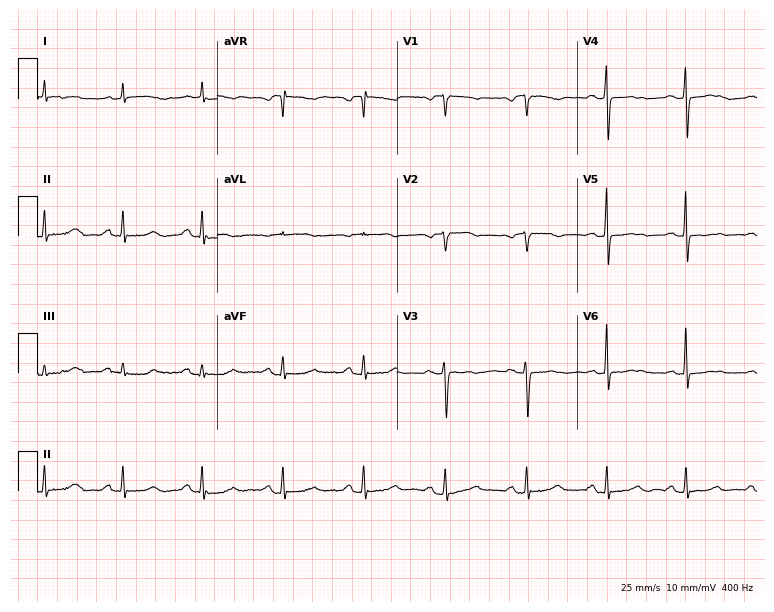
12-lead ECG from a 55-year-old female (7.3-second recording at 400 Hz). No first-degree AV block, right bundle branch block (RBBB), left bundle branch block (LBBB), sinus bradycardia, atrial fibrillation (AF) or sinus tachycardia recorded for this tracing. Other findings, if any, are not listed.